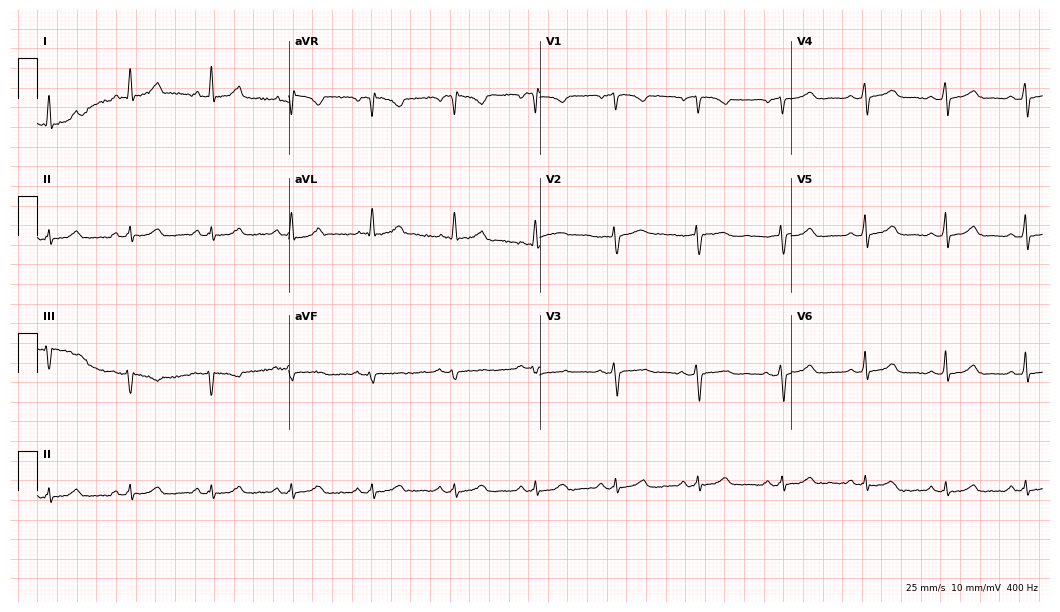
ECG (10.2-second recording at 400 Hz) — a female patient, 58 years old. Labelled as a normal ECG.